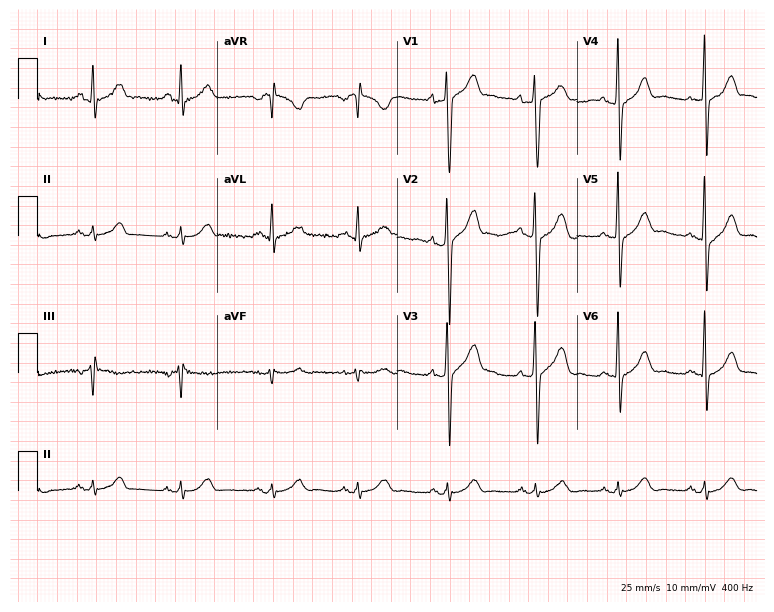
Standard 12-lead ECG recorded from a 39-year-old male (7.3-second recording at 400 Hz). Read as a normal ECG.